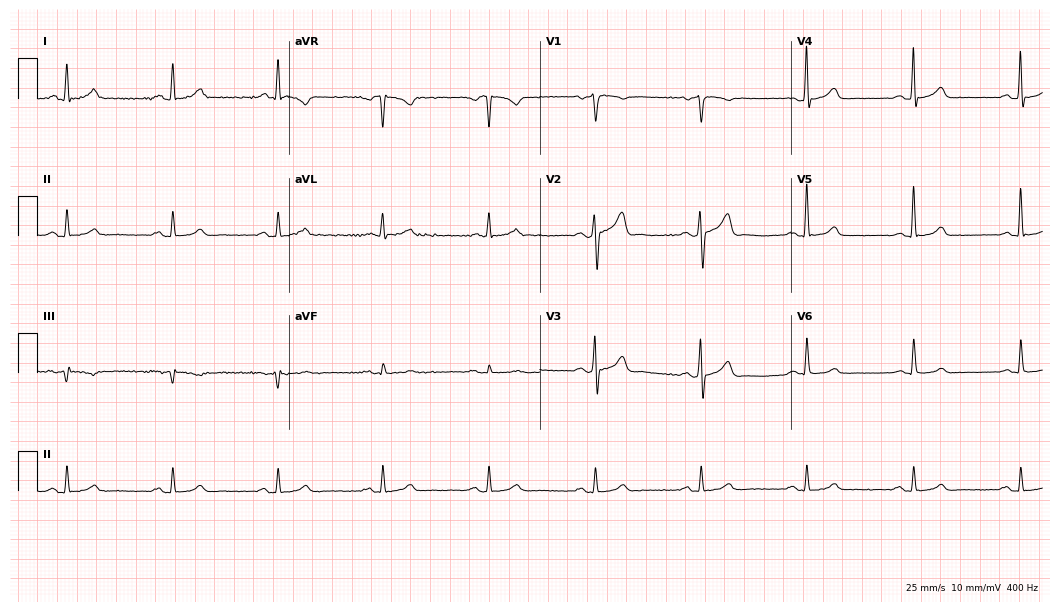
ECG — a 75-year-old male patient. Labelled as a normal ECG.